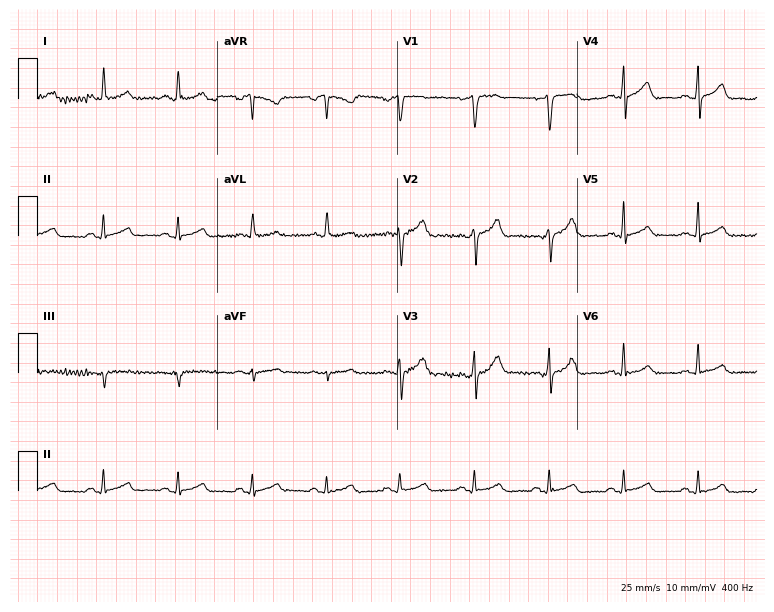
12-lead ECG from a 47-year-old man. Labelled as a normal ECG.